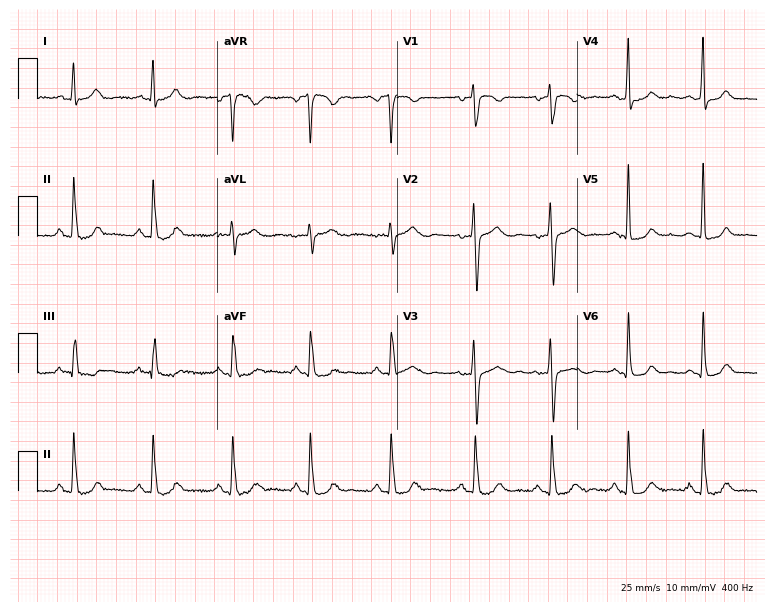
12-lead ECG from a female, 44 years old. Labelled as a normal ECG.